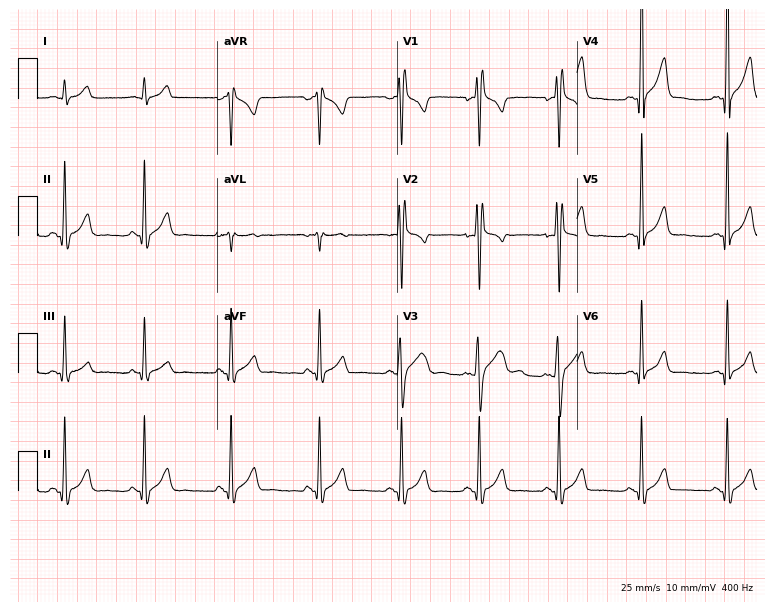
Resting 12-lead electrocardiogram (7.3-second recording at 400 Hz). Patient: a 17-year-old male. None of these six findings is recorded: first-degree AV block, right bundle branch block, left bundle branch block, sinus bradycardia, atrial fibrillation, sinus tachycardia. Other findings, if any, are not listed.